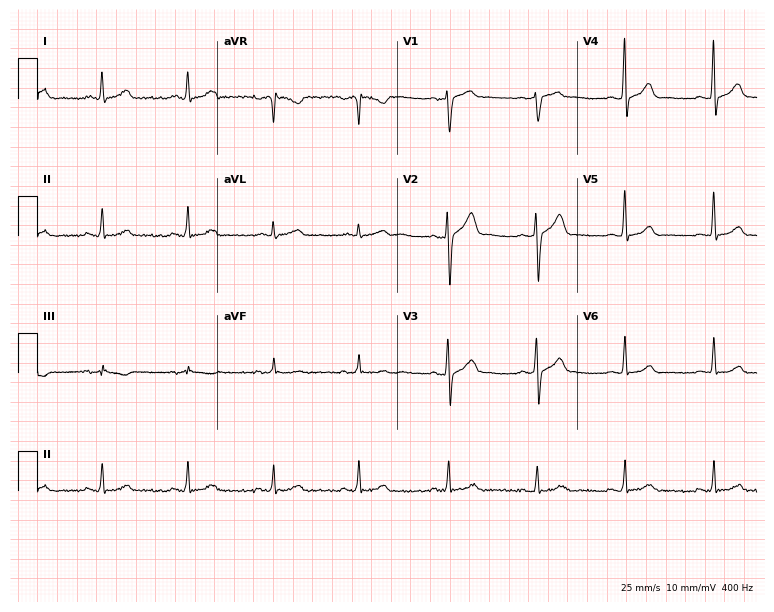
Resting 12-lead electrocardiogram. Patient: a 46-year-old male. Read as a normal ECG.